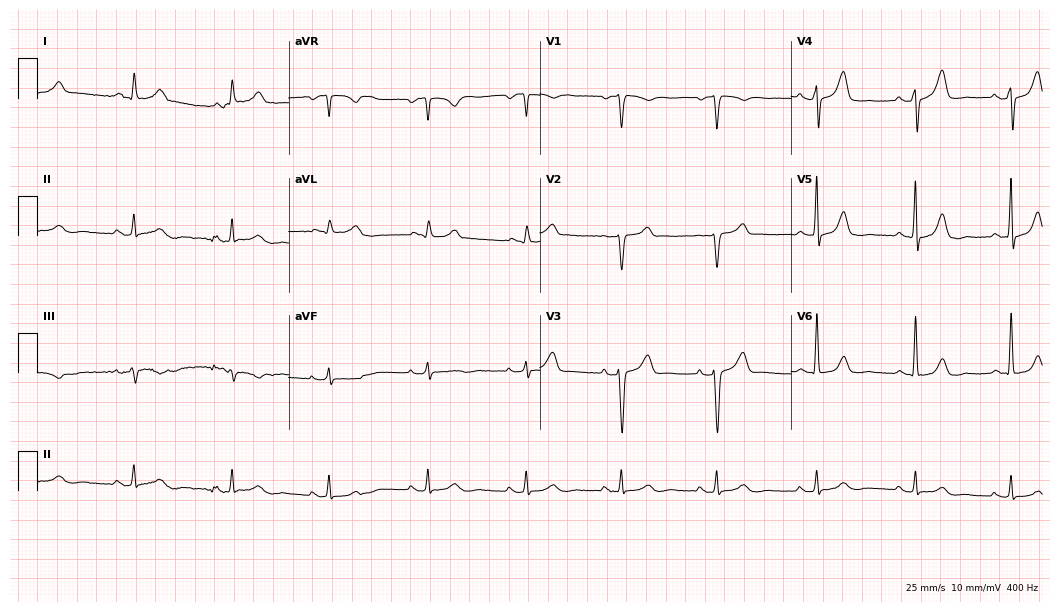
Standard 12-lead ECG recorded from a 66-year-old male patient. Read as a normal ECG.